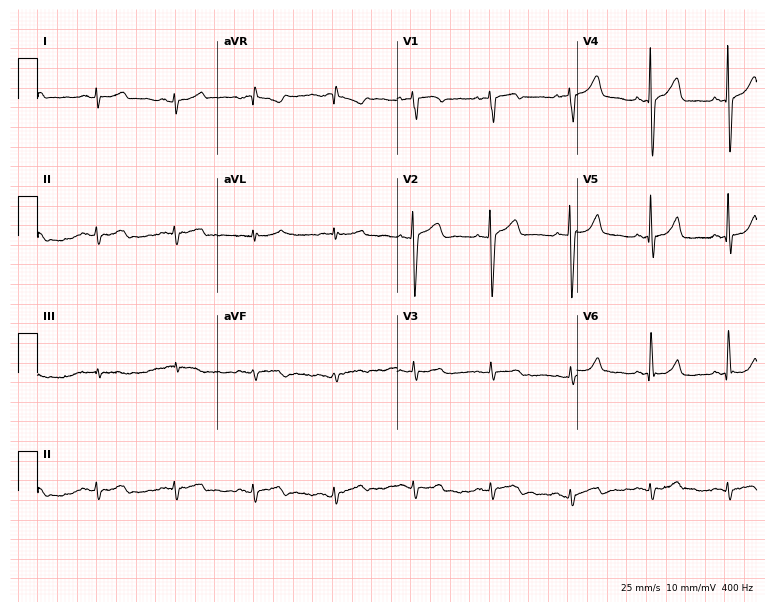
Standard 12-lead ECG recorded from a 19-year-old male patient. Read as a normal ECG.